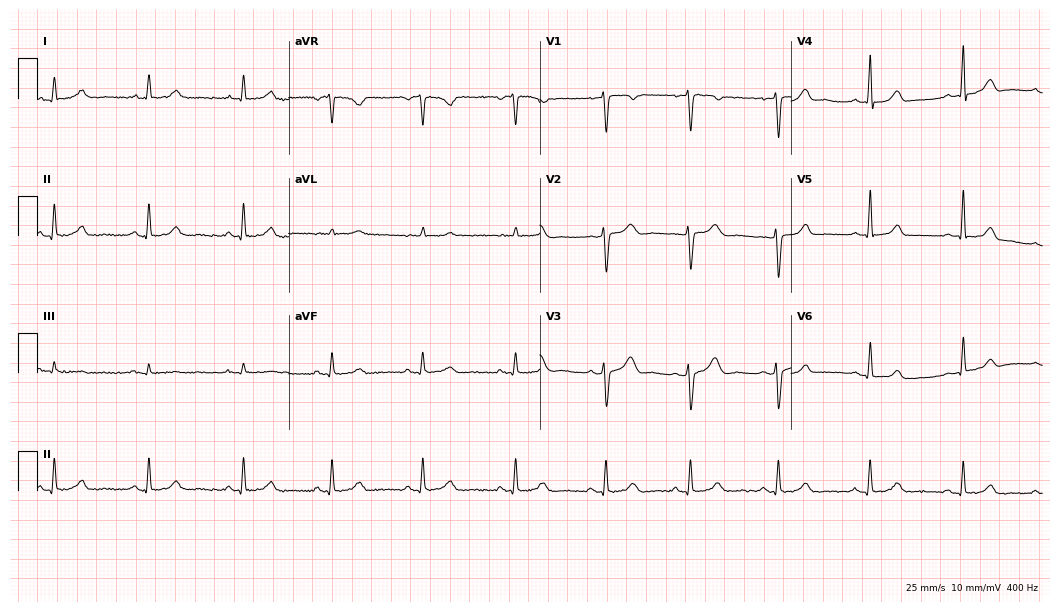
Standard 12-lead ECG recorded from a 31-year-old female patient. Read as a normal ECG.